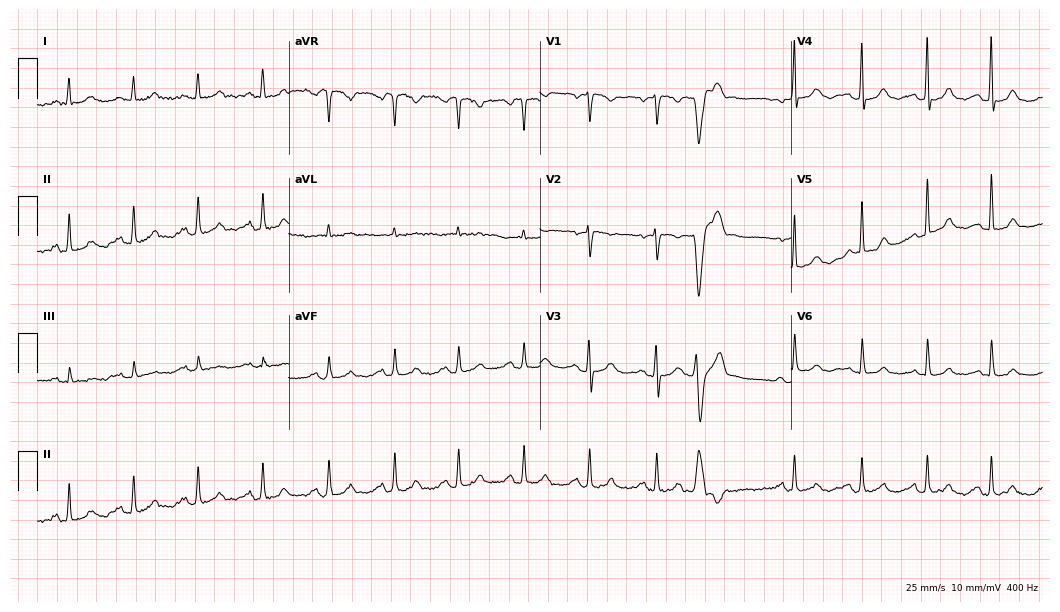
Standard 12-lead ECG recorded from a 68-year-old female. Read as a normal ECG.